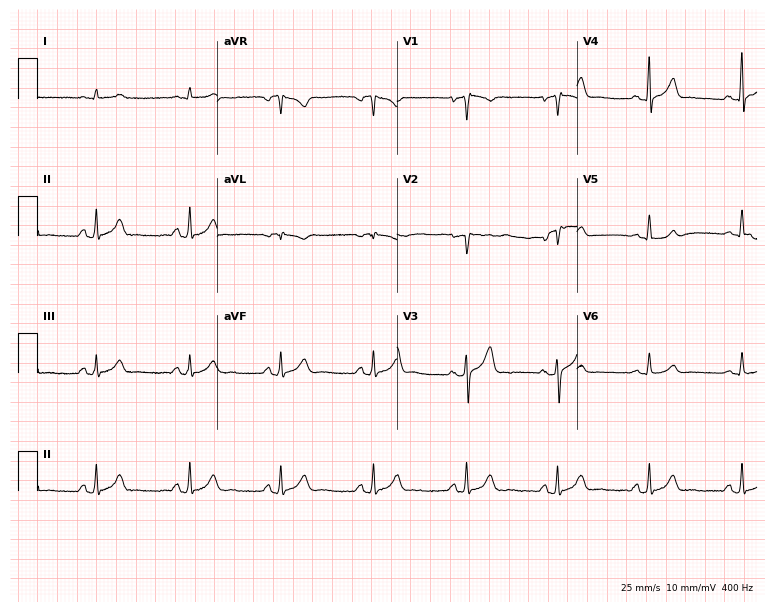
ECG (7.3-second recording at 400 Hz) — a 47-year-old male patient. Labelled as a normal ECG.